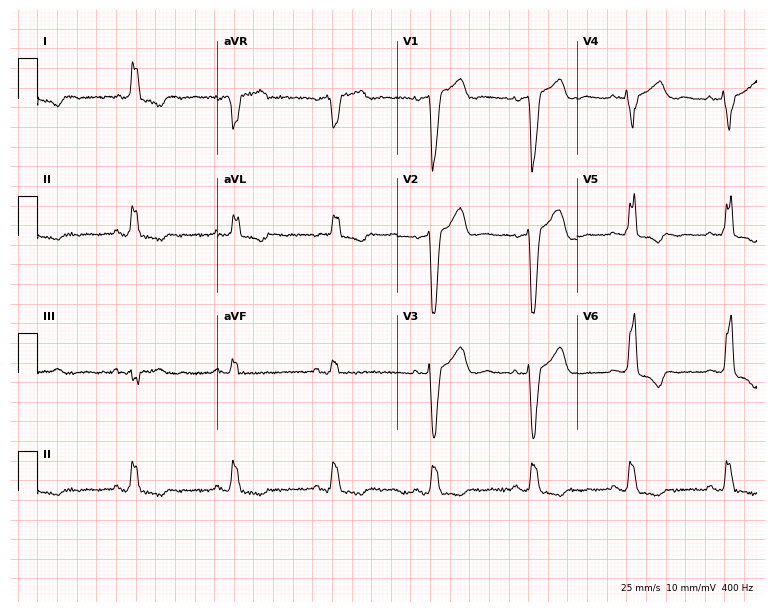
Resting 12-lead electrocardiogram. Patient: a 60-year-old man. The tracing shows left bundle branch block.